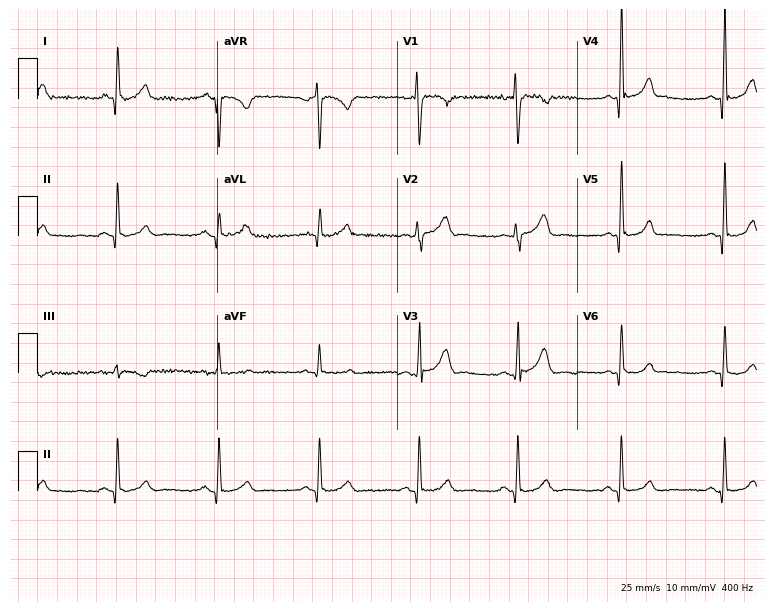
12-lead ECG from a woman, 51 years old. Recorded interpretation: within normal limits.